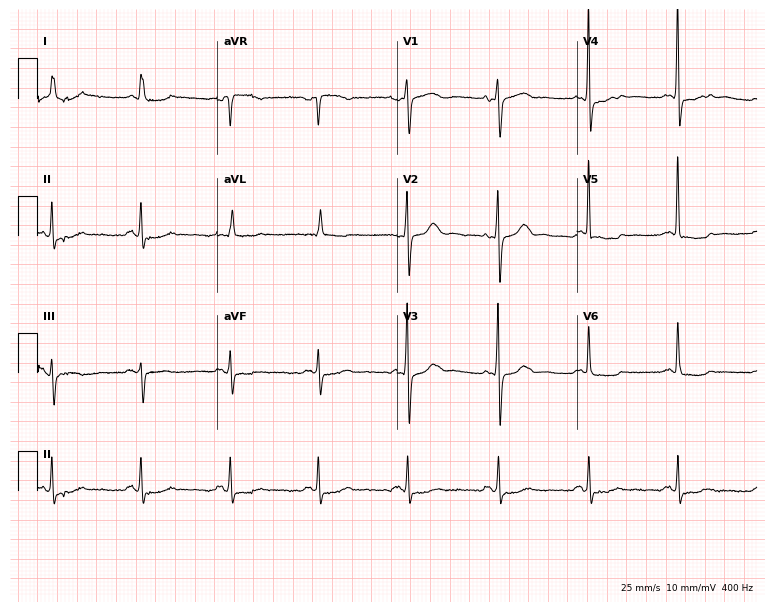
Electrocardiogram, a 74-year-old woman. Of the six screened findings (first-degree AV block, right bundle branch block, left bundle branch block, sinus bradycardia, atrial fibrillation, sinus tachycardia), none is recorded. Only these six findings were labelled.